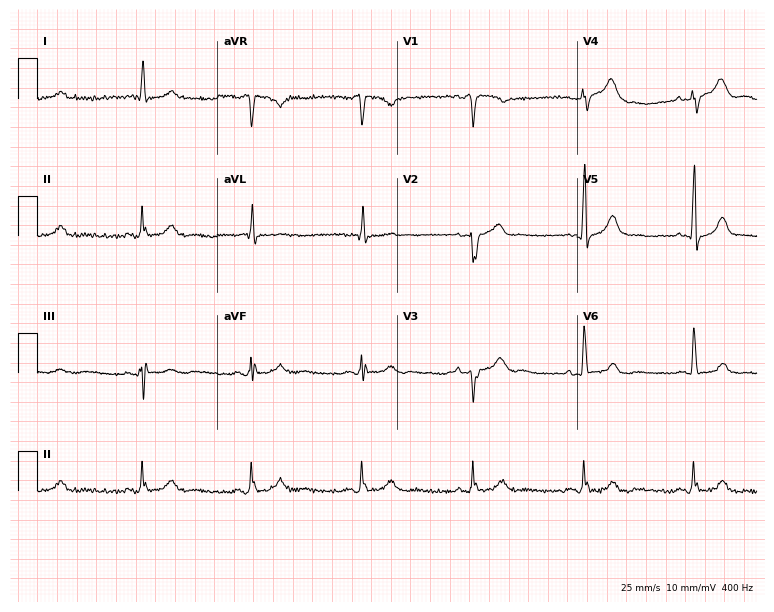
Electrocardiogram, a male, 82 years old. Of the six screened findings (first-degree AV block, right bundle branch block, left bundle branch block, sinus bradycardia, atrial fibrillation, sinus tachycardia), none is recorded.